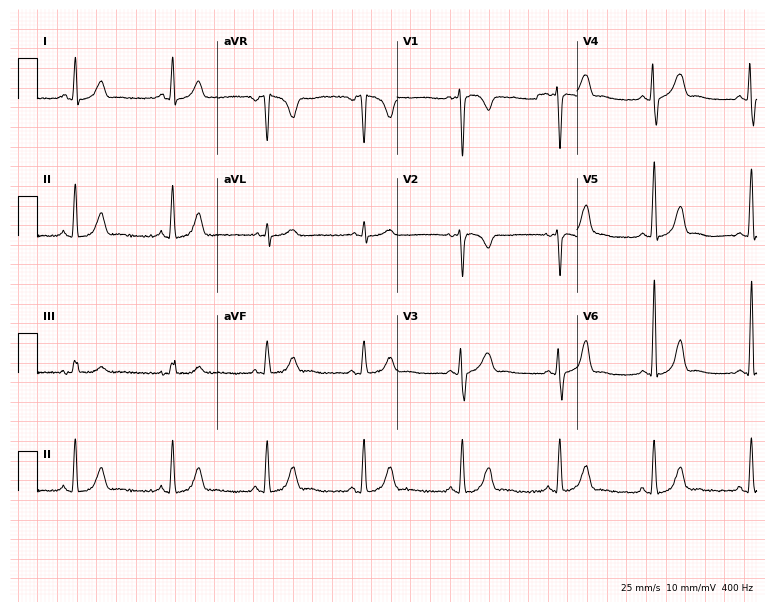
12-lead ECG (7.3-second recording at 400 Hz) from a female patient, 29 years old. Labelled as a normal ECG.